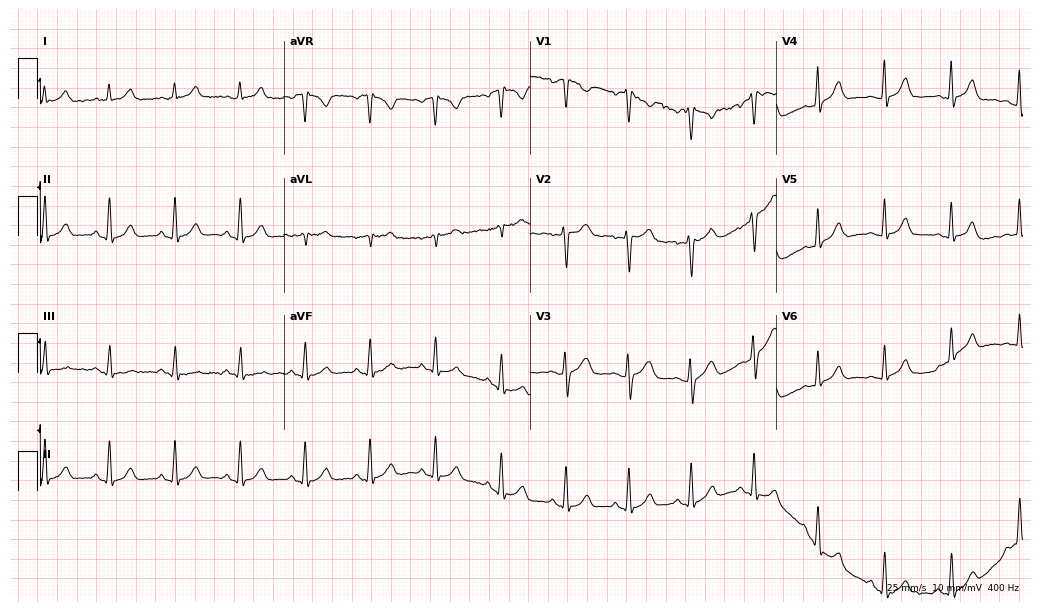
Electrocardiogram, a woman, 37 years old. Overall reading on record: normal ECG.